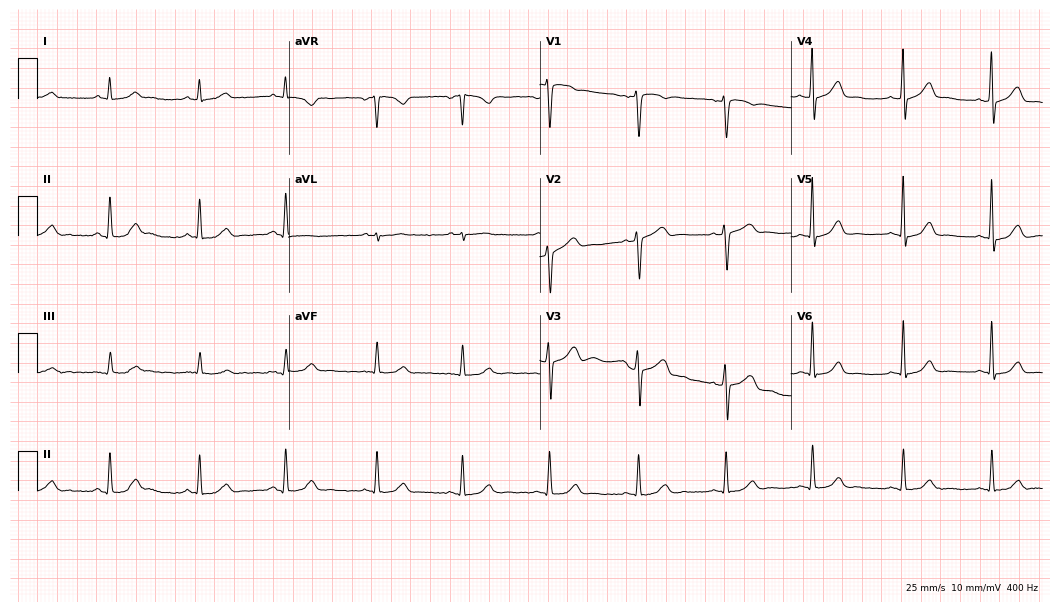
12-lead ECG from a male, 54 years old. No first-degree AV block, right bundle branch block, left bundle branch block, sinus bradycardia, atrial fibrillation or sinus tachycardia recorded for this tracing. Only these six findings were labelled.